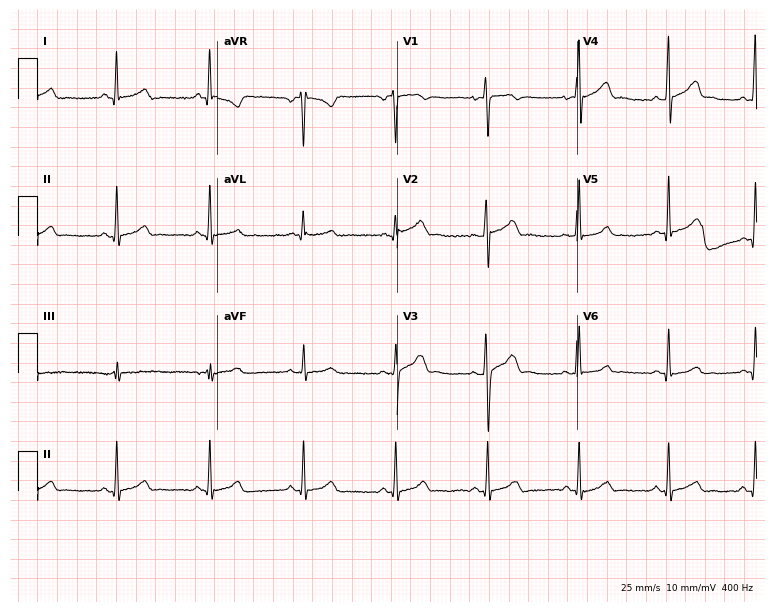
Resting 12-lead electrocardiogram (7.3-second recording at 400 Hz). Patient: a male, 40 years old. None of these six findings is recorded: first-degree AV block, right bundle branch block (RBBB), left bundle branch block (LBBB), sinus bradycardia, atrial fibrillation (AF), sinus tachycardia.